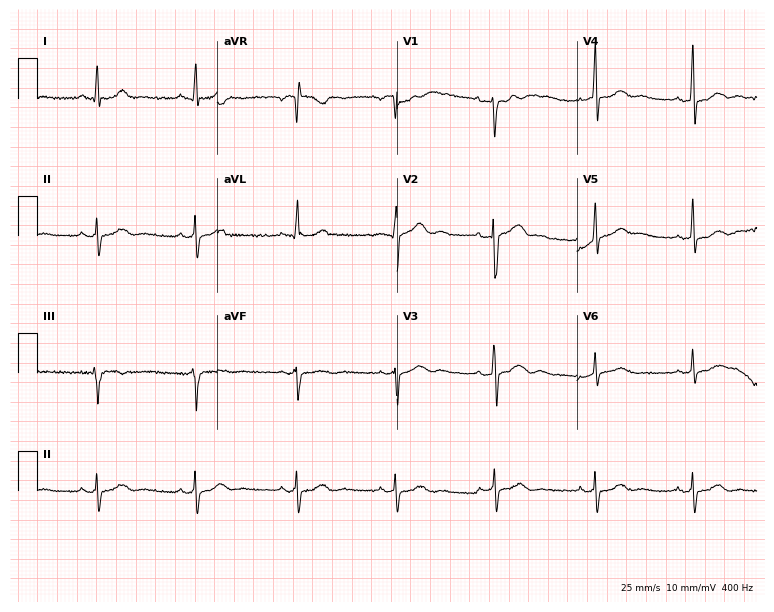
Standard 12-lead ECG recorded from a 39-year-old male patient. Read as a normal ECG.